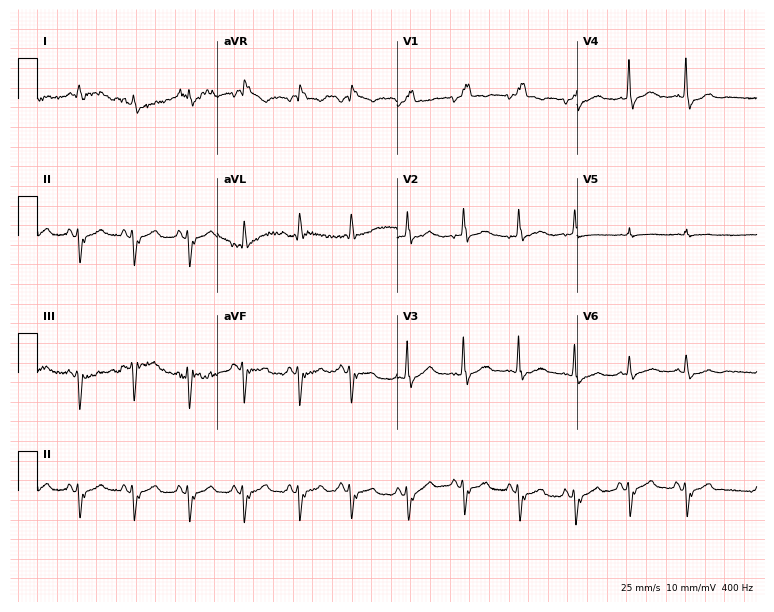
Electrocardiogram, a man, 85 years old. Of the six screened findings (first-degree AV block, right bundle branch block, left bundle branch block, sinus bradycardia, atrial fibrillation, sinus tachycardia), none is recorded. Findings outside these six are not listed.